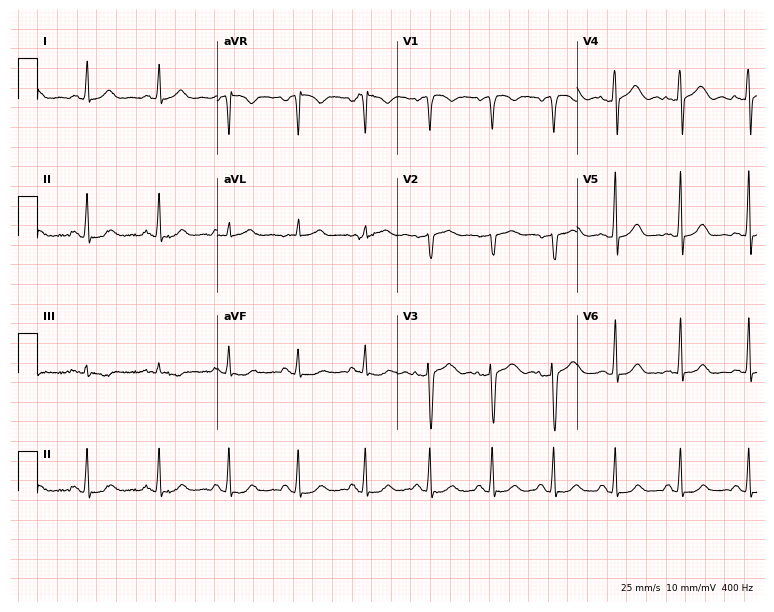
12-lead ECG from a 43-year-old female (7.3-second recording at 400 Hz). Recorded interpretation: within normal limits.